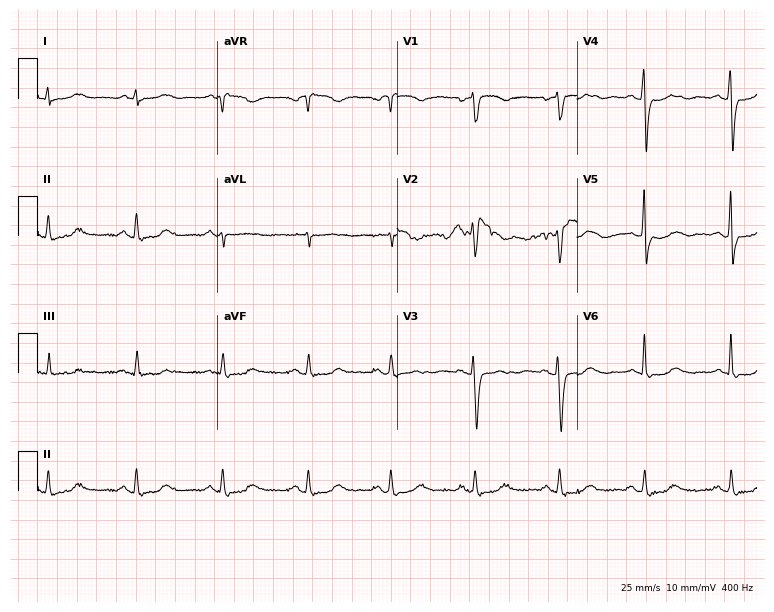
12-lead ECG from a 52-year-old woman. No first-degree AV block, right bundle branch block, left bundle branch block, sinus bradycardia, atrial fibrillation or sinus tachycardia recorded for this tracing. Only these six findings were labelled.